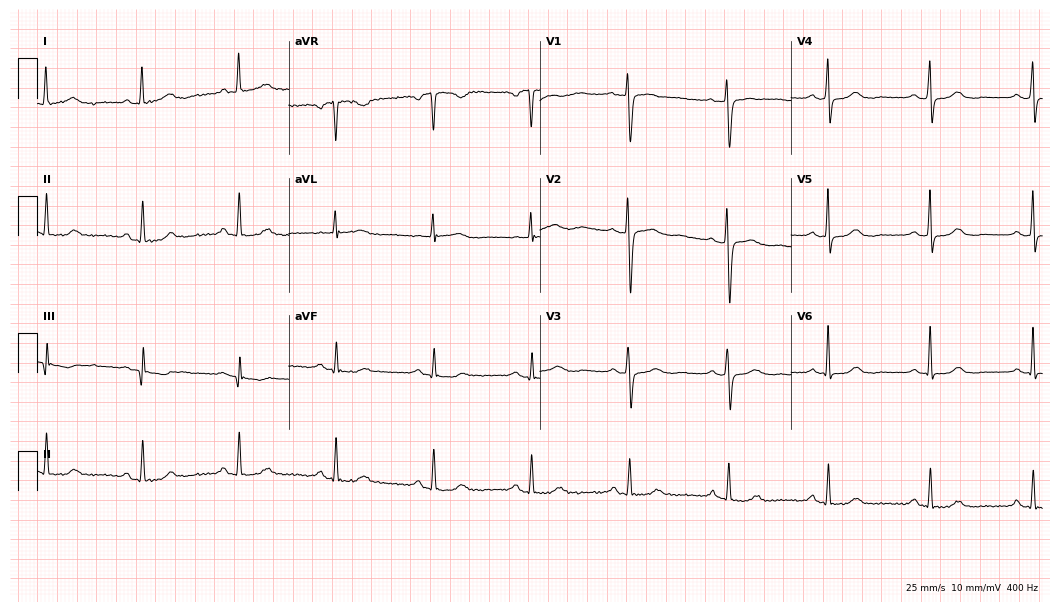
ECG — a 55-year-old woman. Labelled as a normal ECG.